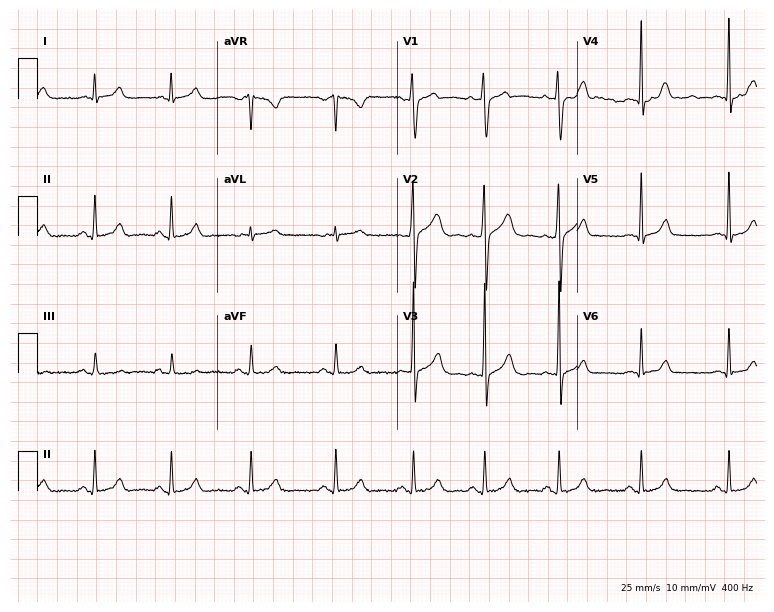
Resting 12-lead electrocardiogram (7.3-second recording at 400 Hz). Patient: a 32-year-old male. None of these six findings is recorded: first-degree AV block, right bundle branch block, left bundle branch block, sinus bradycardia, atrial fibrillation, sinus tachycardia. Other findings, if any, are not listed.